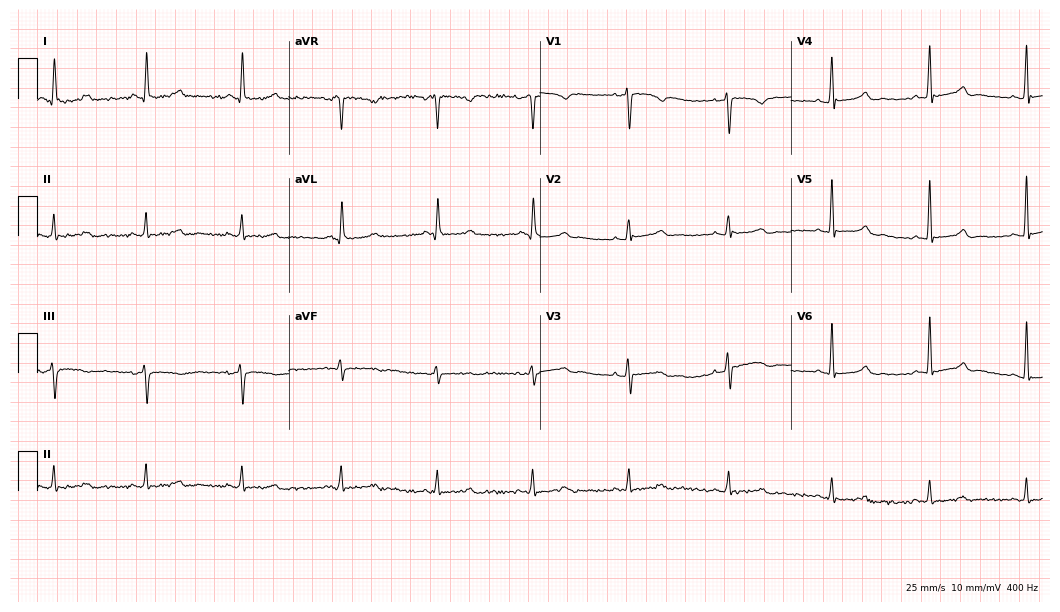
12-lead ECG from a female, 46 years old. Screened for six findings — first-degree AV block, right bundle branch block, left bundle branch block, sinus bradycardia, atrial fibrillation, sinus tachycardia — none is recorded. Findings outside these six are not listed.